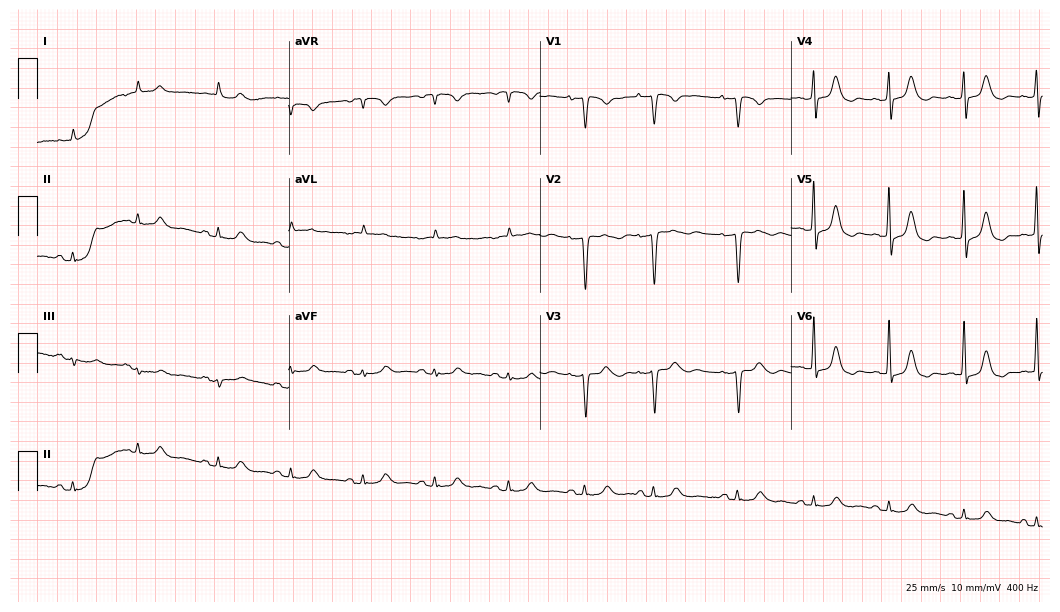
Resting 12-lead electrocardiogram (10.2-second recording at 400 Hz). Patient: an 82-year-old woman. None of these six findings is recorded: first-degree AV block, right bundle branch block, left bundle branch block, sinus bradycardia, atrial fibrillation, sinus tachycardia. Findings outside these six are not listed.